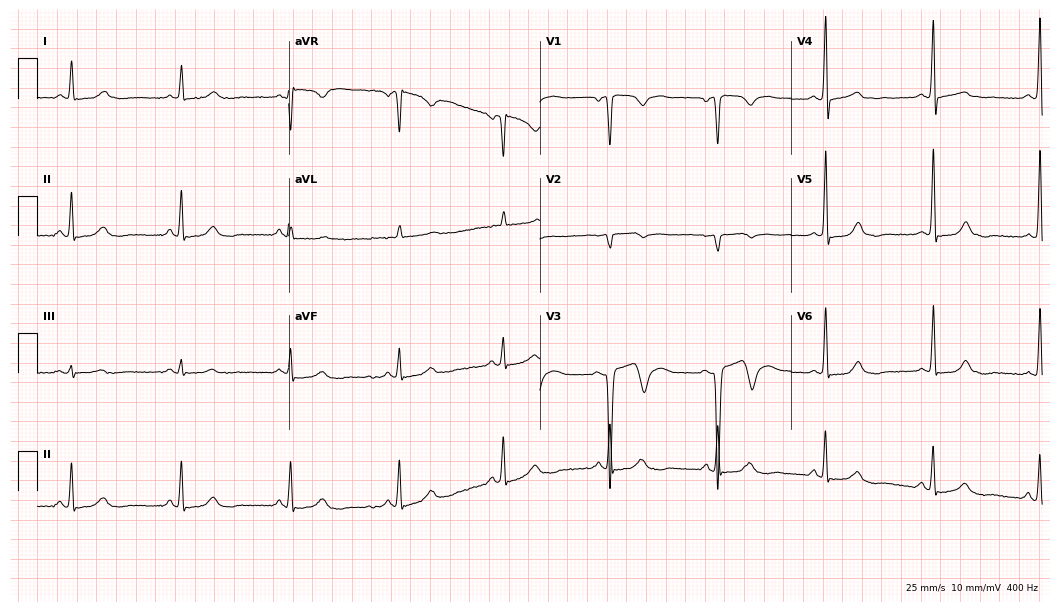
Standard 12-lead ECG recorded from a 65-year-old male (10.2-second recording at 400 Hz). Read as a normal ECG.